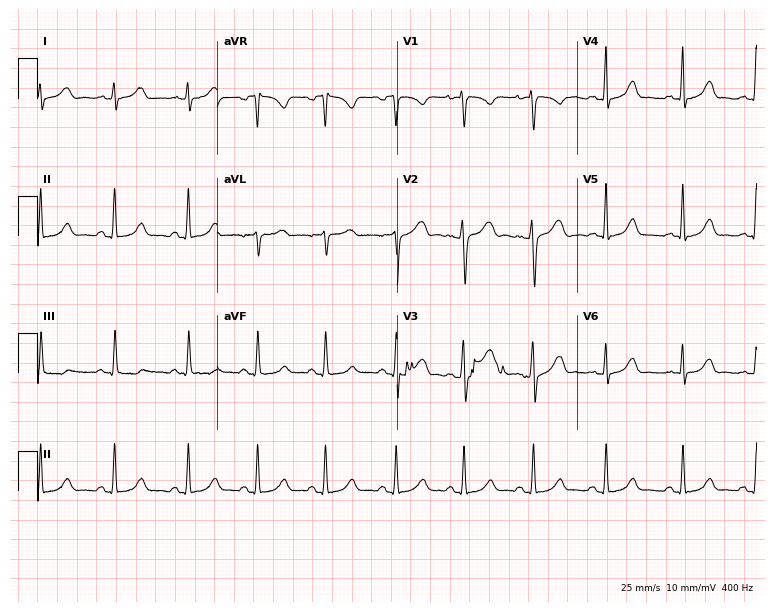
Electrocardiogram (7.3-second recording at 400 Hz), a woman, 21 years old. Overall reading on record: normal ECG.